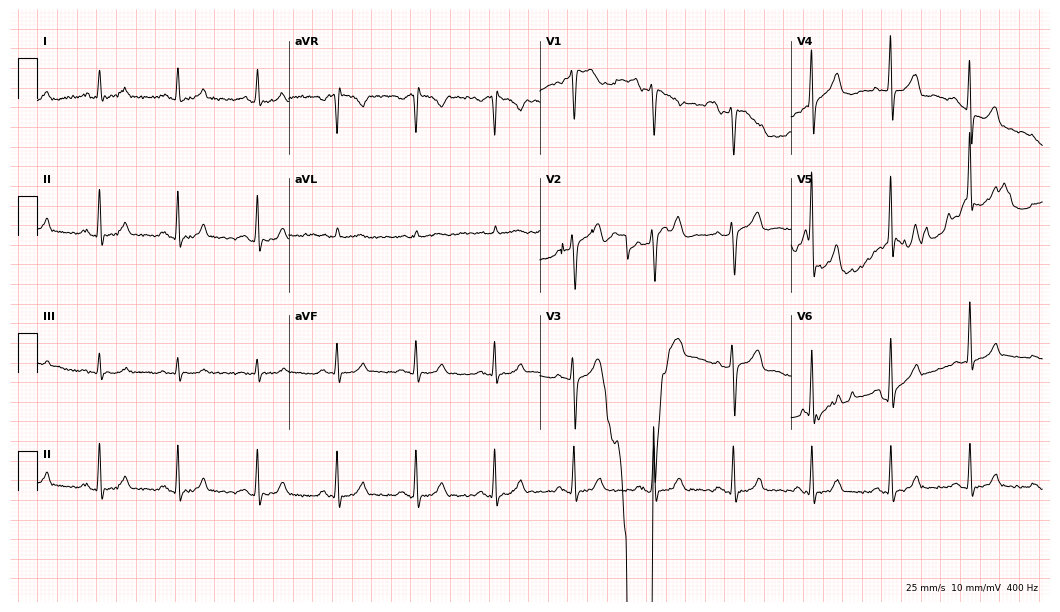
ECG — a 47-year-old female patient. Screened for six findings — first-degree AV block, right bundle branch block, left bundle branch block, sinus bradycardia, atrial fibrillation, sinus tachycardia — none is recorded. Only these six findings were labelled.